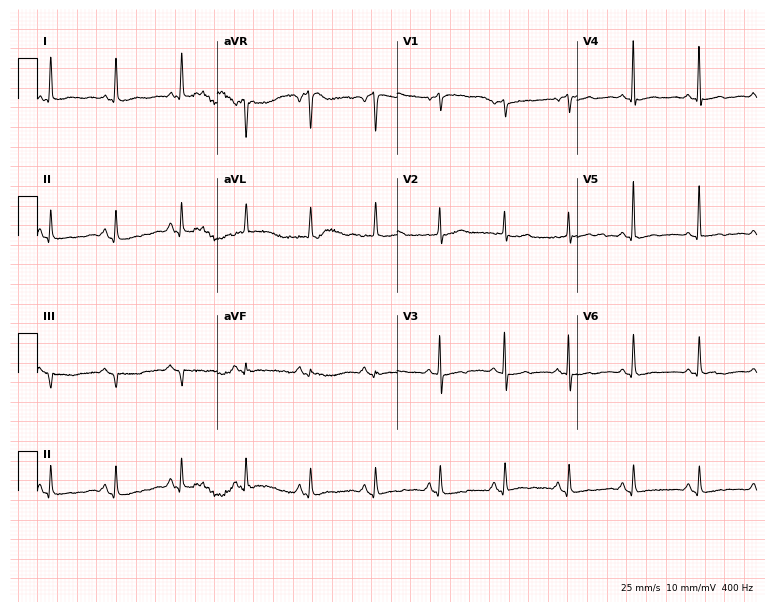
Resting 12-lead electrocardiogram. Patient: a female, 67 years old. Read as a normal ECG.